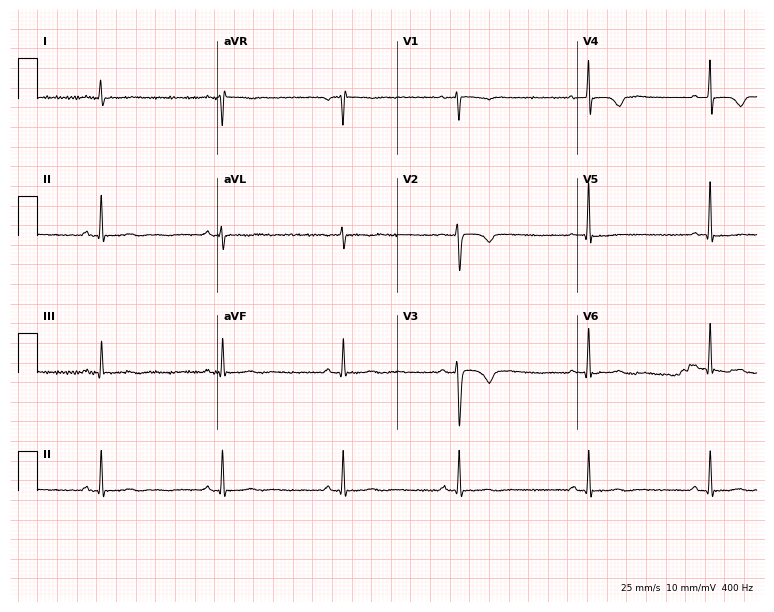
12-lead ECG from a woman, 27 years old (7.3-second recording at 400 Hz). No first-degree AV block, right bundle branch block (RBBB), left bundle branch block (LBBB), sinus bradycardia, atrial fibrillation (AF) or sinus tachycardia recorded for this tracing. Findings outside these six are not listed.